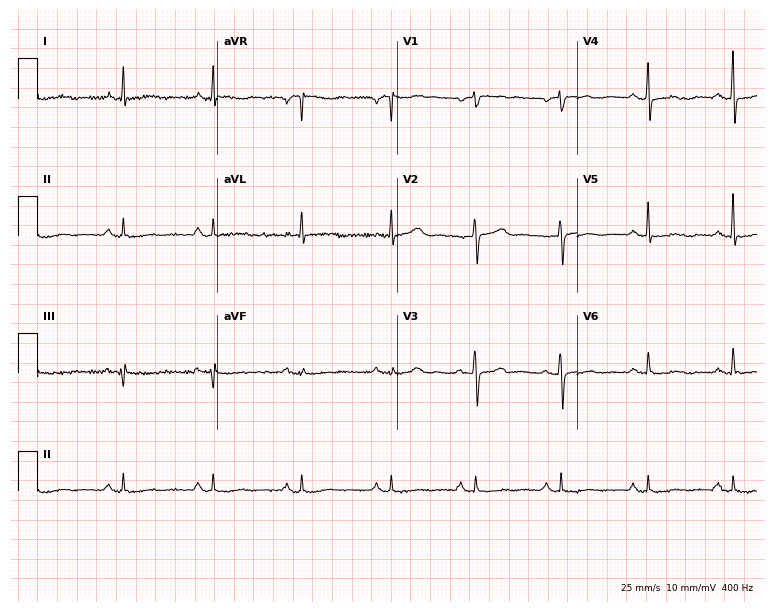
ECG (7.3-second recording at 400 Hz) — a 69-year-old woman. Screened for six findings — first-degree AV block, right bundle branch block, left bundle branch block, sinus bradycardia, atrial fibrillation, sinus tachycardia — none is recorded.